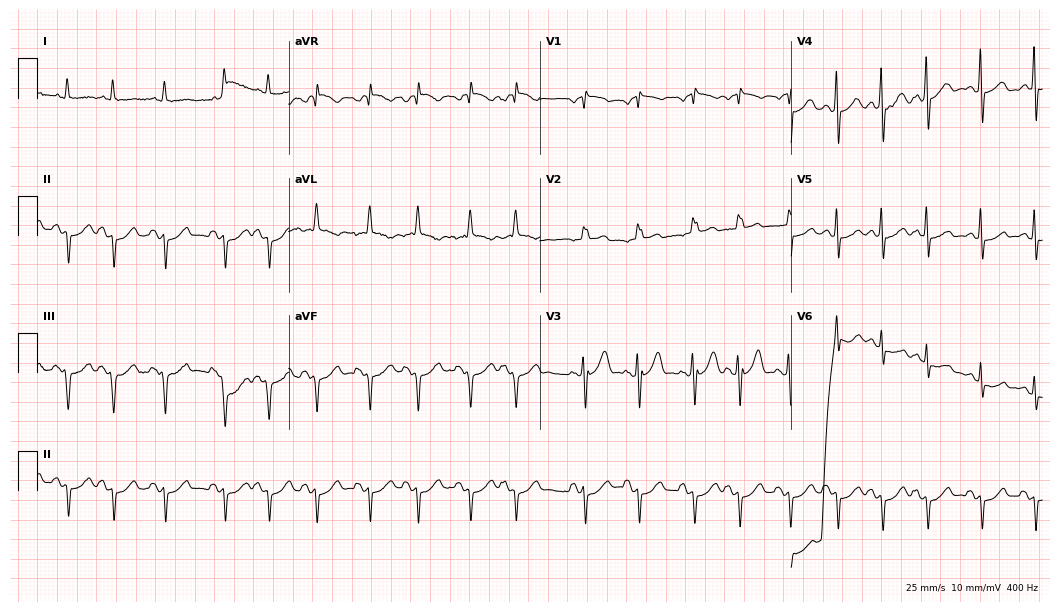
12-lead ECG from a woman, 75 years old. Shows sinus tachycardia (a sinus rate of 100 beats per minute or more).